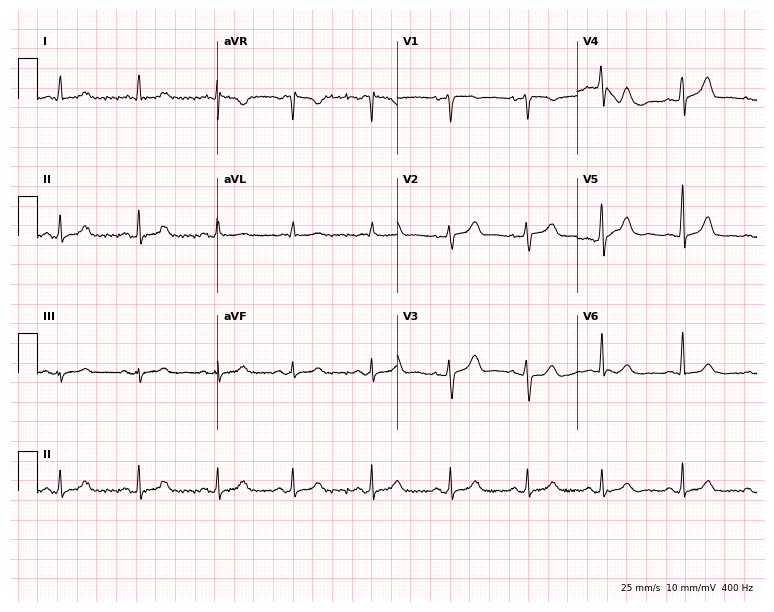
Standard 12-lead ECG recorded from an 82-year-old female patient (7.3-second recording at 400 Hz). Read as a normal ECG.